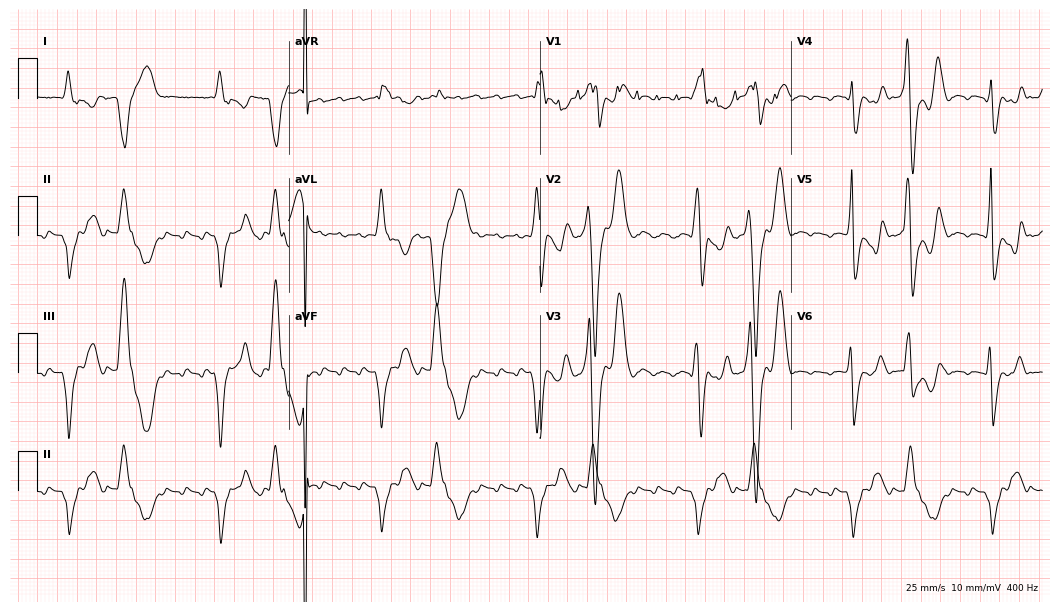
Electrocardiogram, a male, 53 years old. Interpretation includes right bundle branch block.